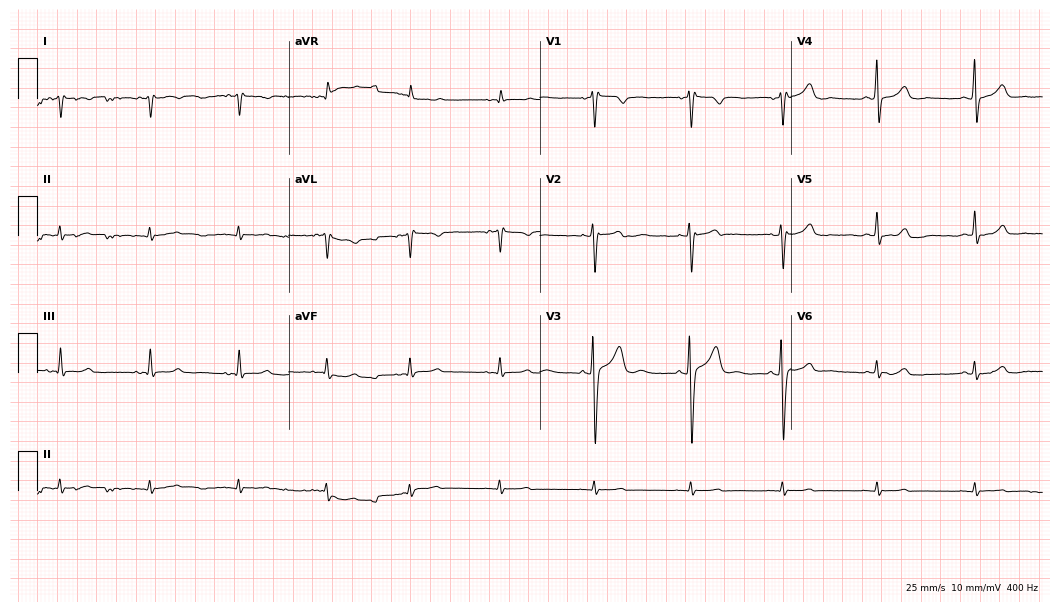
ECG — a female, 27 years old. Screened for six findings — first-degree AV block, right bundle branch block, left bundle branch block, sinus bradycardia, atrial fibrillation, sinus tachycardia — none is recorded.